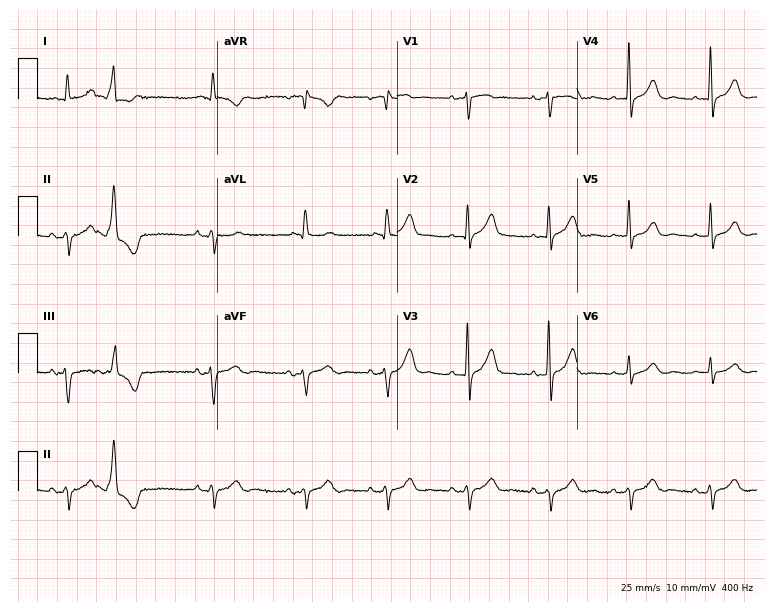
12-lead ECG from a man, 81 years old. No first-degree AV block, right bundle branch block (RBBB), left bundle branch block (LBBB), sinus bradycardia, atrial fibrillation (AF) or sinus tachycardia recorded for this tracing. Other findings, if any, are not listed.